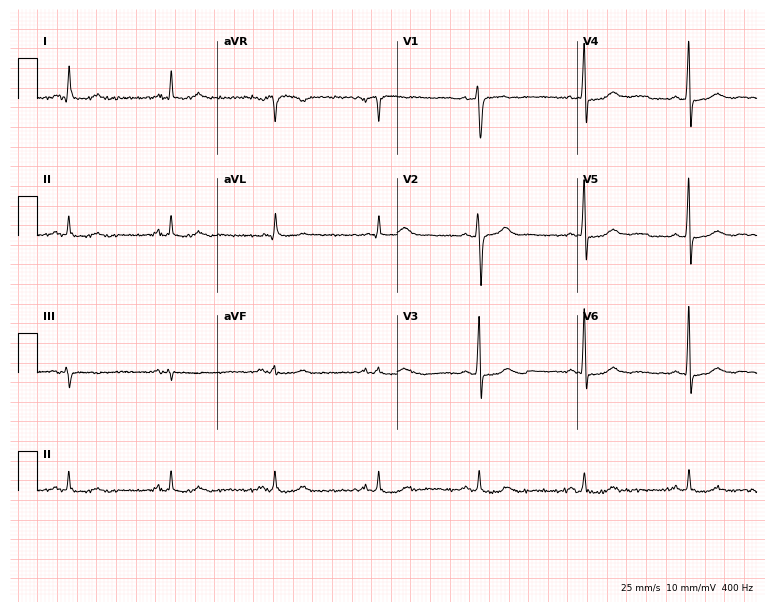
12-lead ECG (7.3-second recording at 400 Hz) from a 55-year-old man. Screened for six findings — first-degree AV block, right bundle branch block (RBBB), left bundle branch block (LBBB), sinus bradycardia, atrial fibrillation (AF), sinus tachycardia — none is recorded. Other findings, if any, are not listed.